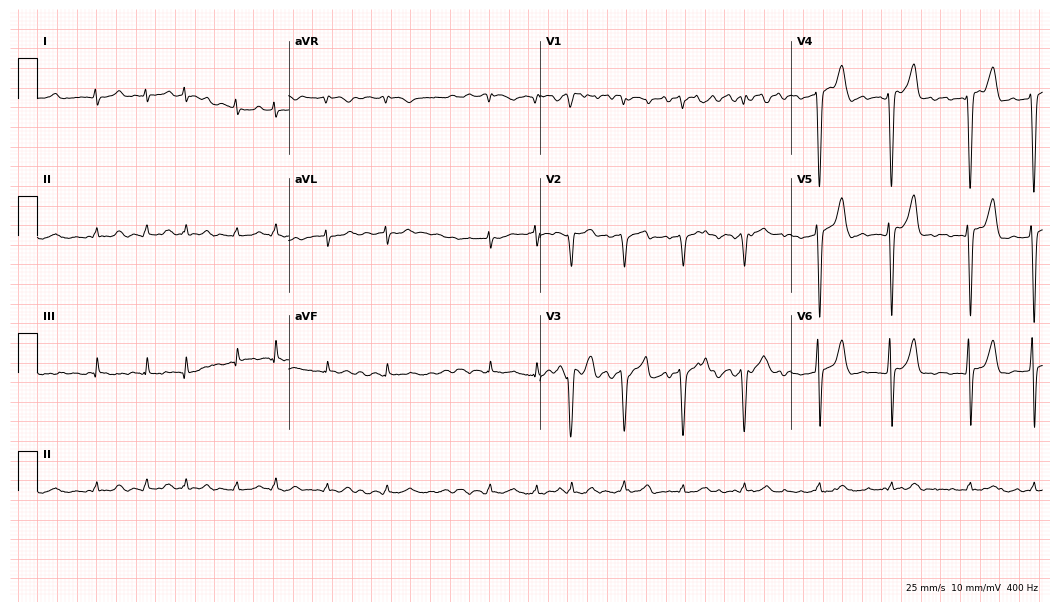
ECG — a male patient, 79 years old. Findings include atrial fibrillation.